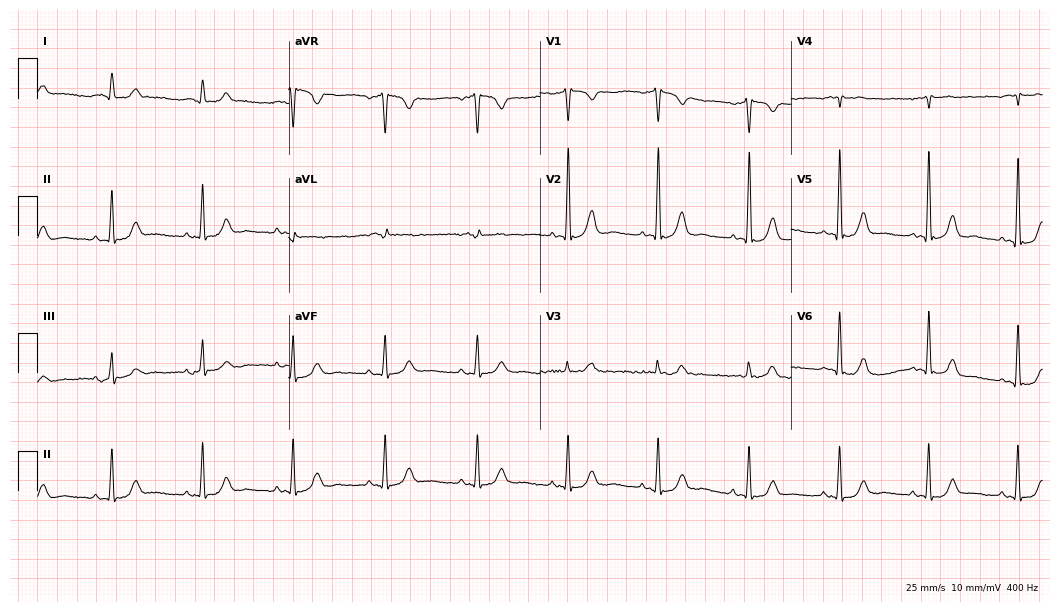
12-lead ECG from a 74-year-old male patient. Recorded interpretation: within normal limits.